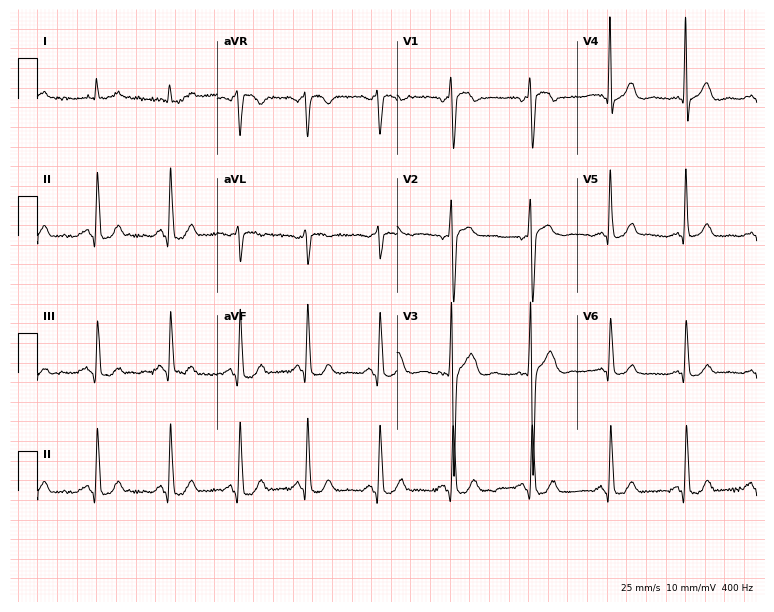
Standard 12-lead ECG recorded from a male, 63 years old (7.3-second recording at 400 Hz). Read as a normal ECG.